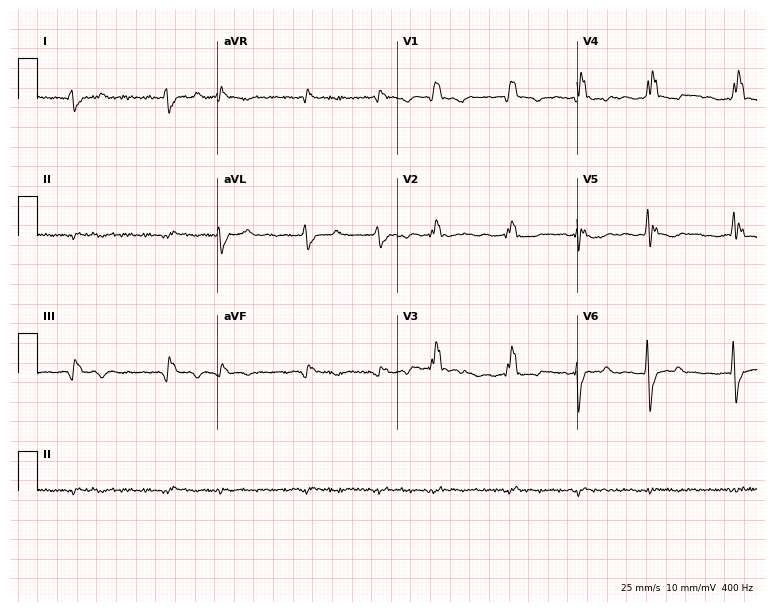
Electrocardiogram, a 61-year-old male. Interpretation includes right bundle branch block, atrial fibrillation.